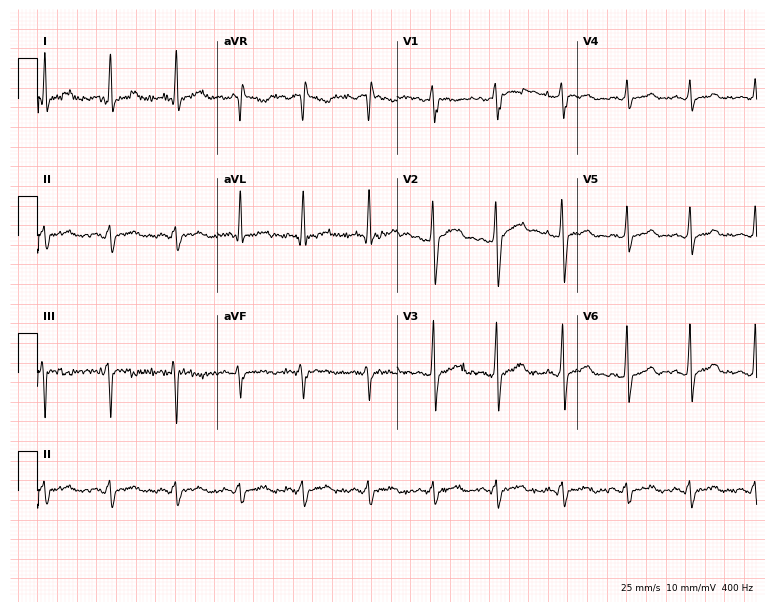
Resting 12-lead electrocardiogram (7.3-second recording at 400 Hz). Patient: a male, 30 years old. None of these six findings is recorded: first-degree AV block, right bundle branch block, left bundle branch block, sinus bradycardia, atrial fibrillation, sinus tachycardia.